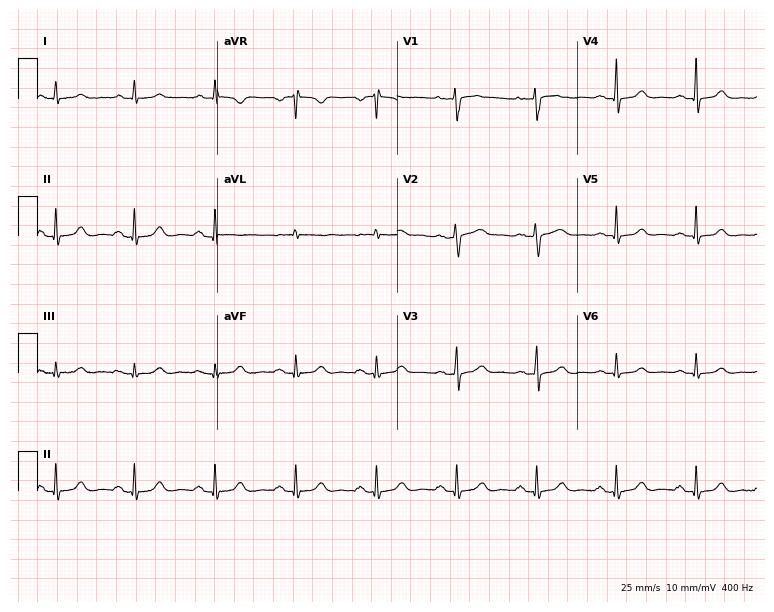
12-lead ECG from a 50-year-old female. No first-degree AV block, right bundle branch block (RBBB), left bundle branch block (LBBB), sinus bradycardia, atrial fibrillation (AF) or sinus tachycardia recorded for this tracing. Findings outside these six are not listed.